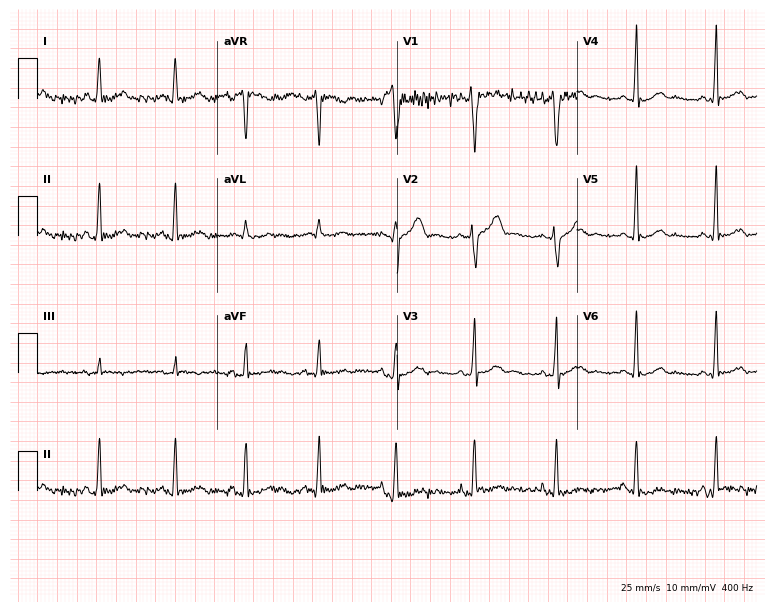
Resting 12-lead electrocardiogram. Patient: a 36-year-old male. None of these six findings is recorded: first-degree AV block, right bundle branch block, left bundle branch block, sinus bradycardia, atrial fibrillation, sinus tachycardia.